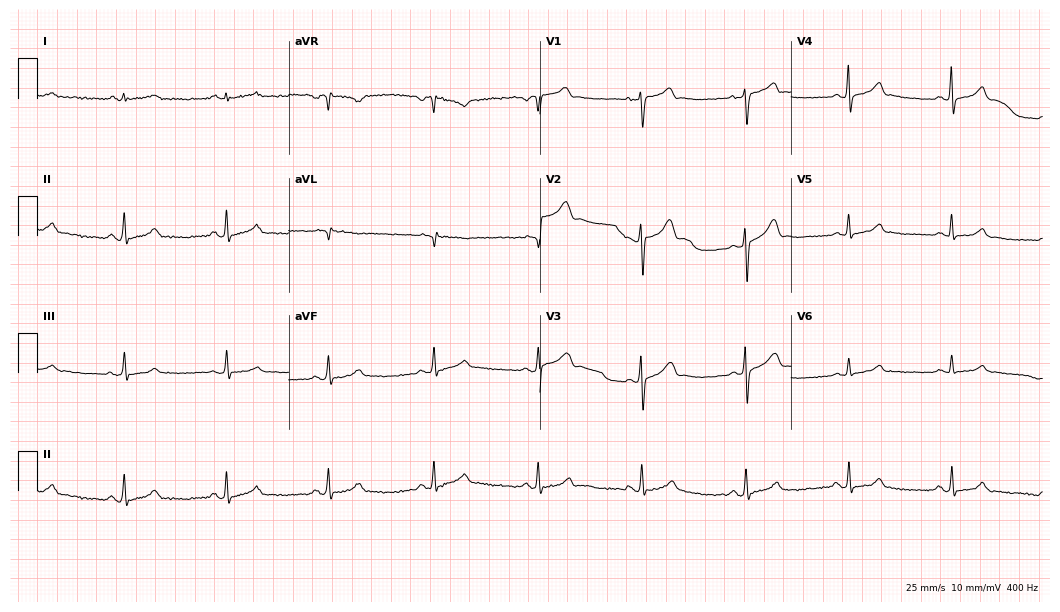
ECG — a 52-year-old male patient. Labelled as a normal ECG.